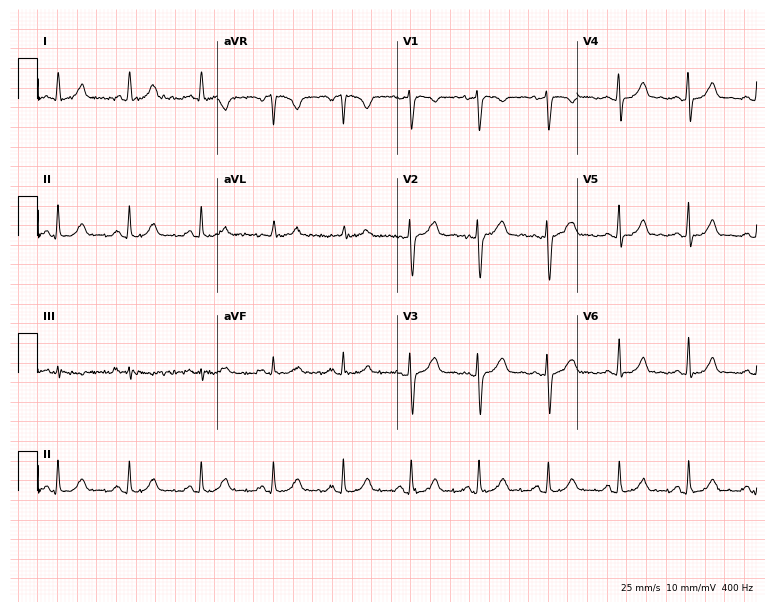
Standard 12-lead ECG recorded from a woman, 27 years old (7.3-second recording at 400 Hz). Read as a normal ECG.